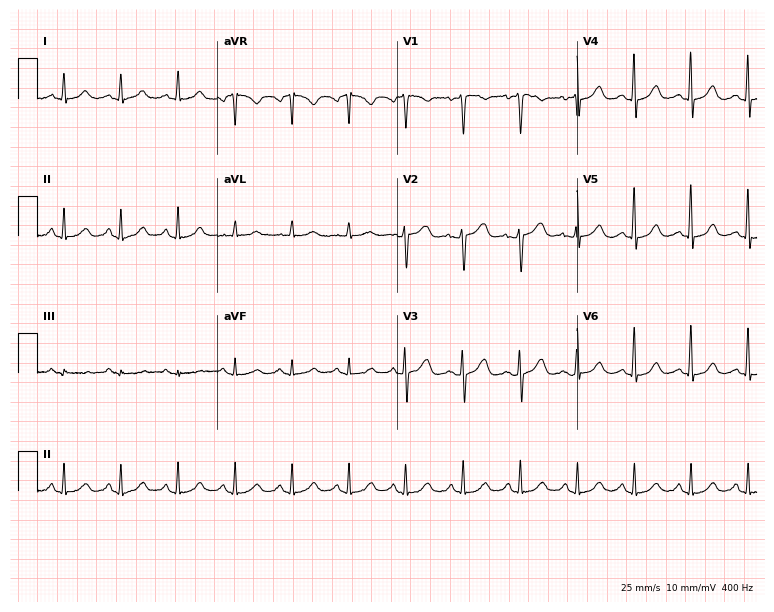
ECG — a 41-year-old female. Findings include sinus tachycardia (a sinus rate of 100 beats per minute or more).